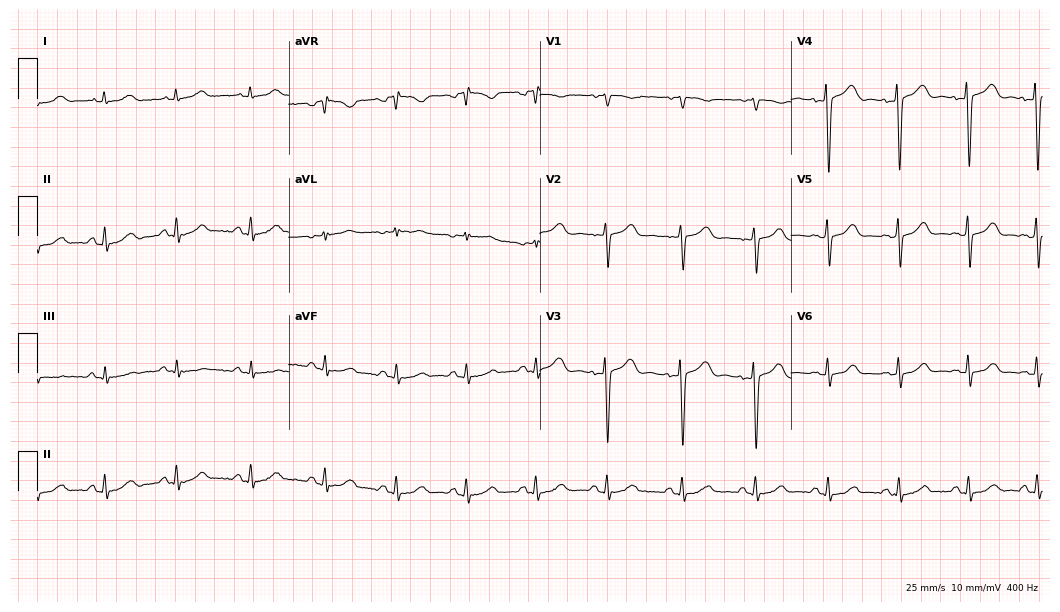
ECG — a 29-year-old female. Screened for six findings — first-degree AV block, right bundle branch block, left bundle branch block, sinus bradycardia, atrial fibrillation, sinus tachycardia — none is recorded. Other findings, if any, are not listed.